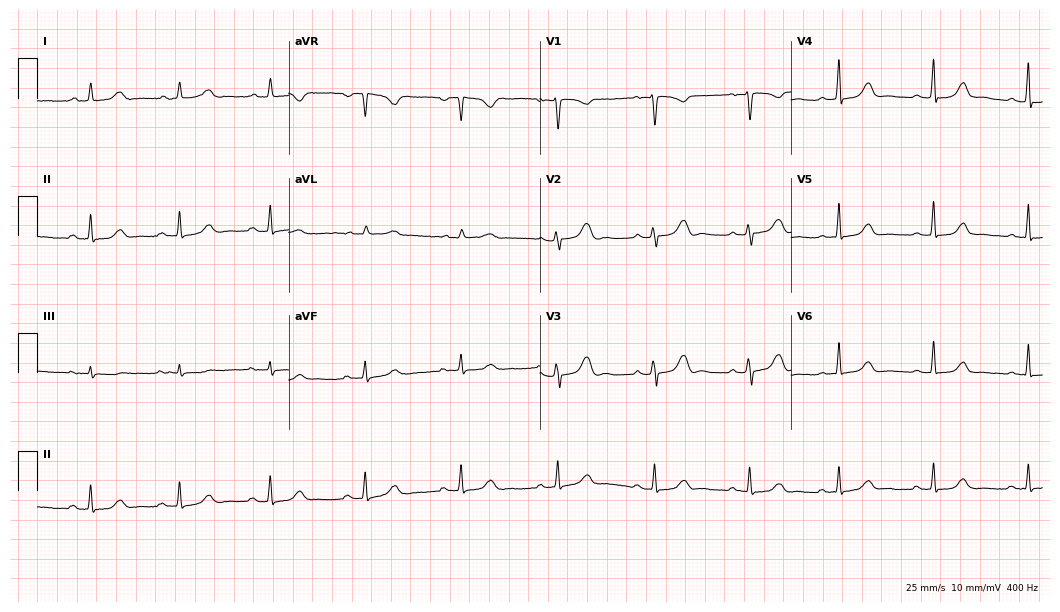
ECG — a female patient, 30 years old. Screened for six findings — first-degree AV block, right bundle branch block, left bundle branch block, sinus bradycardia, atrial fibrillation, sinus tachycardia — none is recorded.